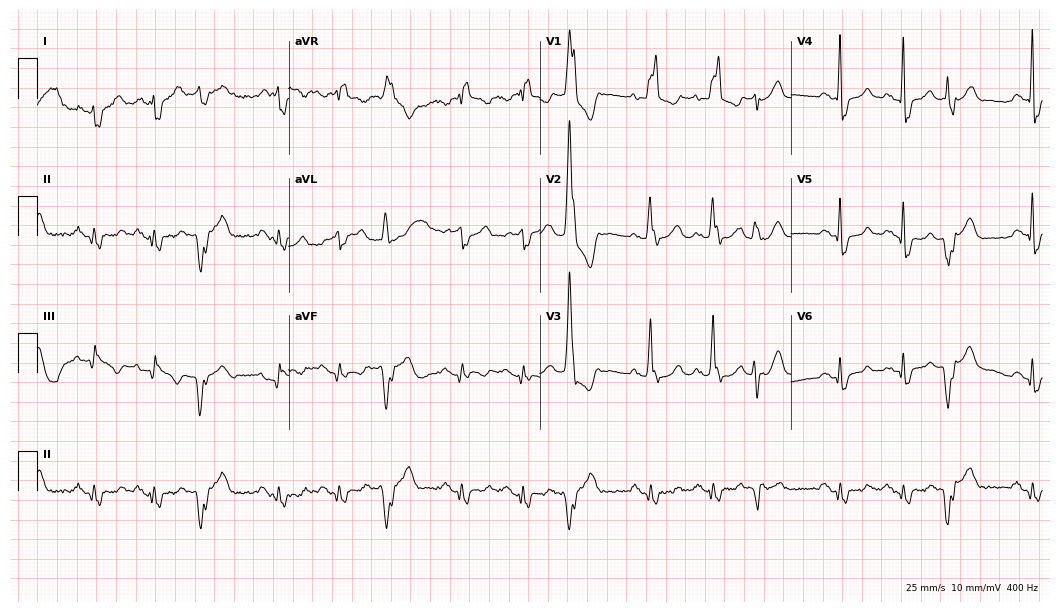
ECG (10.2-second recording at 400 Hz) — an 85-year-old female. Findings include right bundle branch block (RBBB).